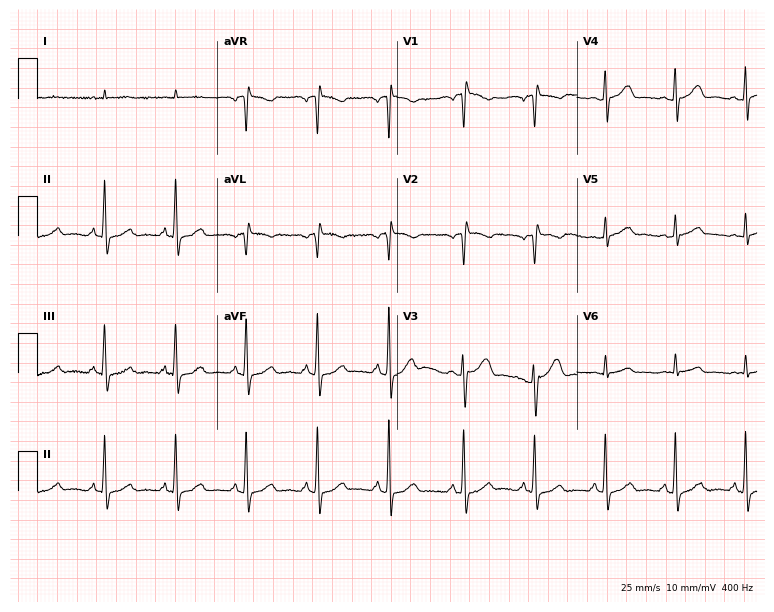
ECG (7.3-second recording at 400 Hz) — a 73-year-old male patient. Screened for six findings — first-degree AV block, right bundle branch block (RBBB), left bundle branch block (LBBB), sinus bradycardia, atrial fibrillation (AF), sinus tachycardia — none is recorded. Other findings, if any, are not listed.